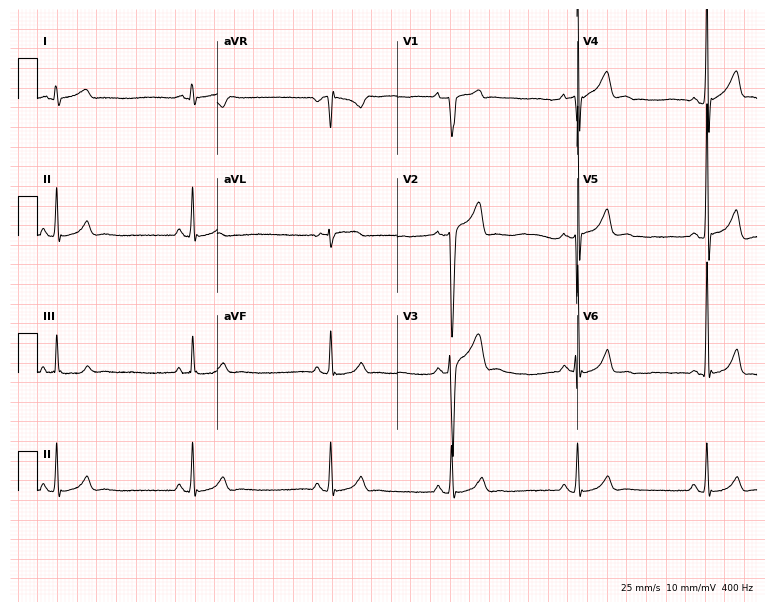
12-lead ECG from a 23-year-old male. Screened for six findings — first-degree AV block, right bundle branch block, left bundle branch block, sinus bradycardia, atrial fibrillation, sinus tachycardia — none is recorded. Findings outside these six are not listed.